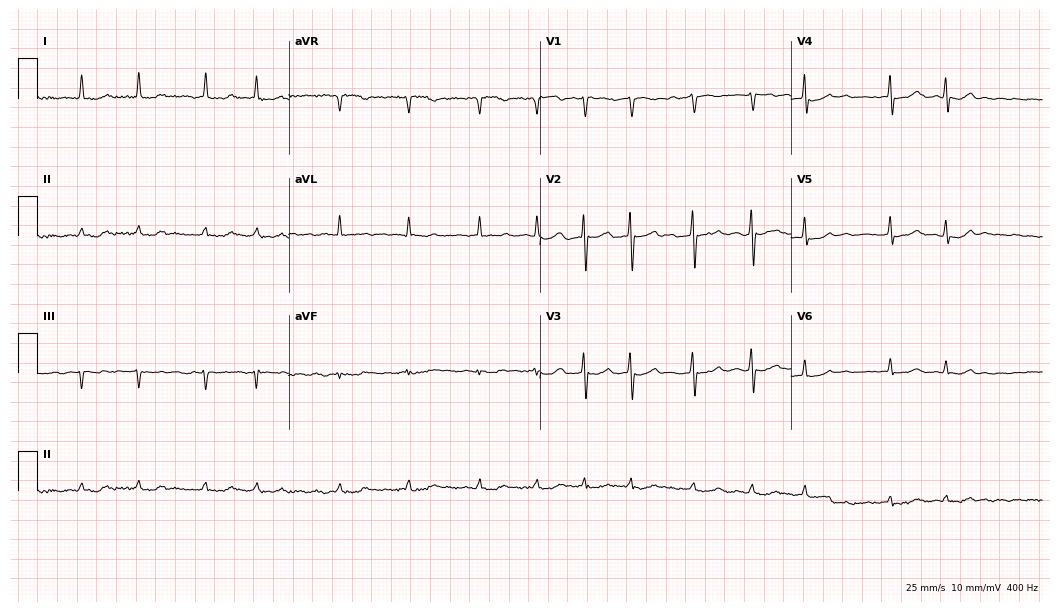
Electrocardiogram (10.2-second recording at 400 Hz), a 75-year-old man. Interpretation includes atrial fibrillation (AF).